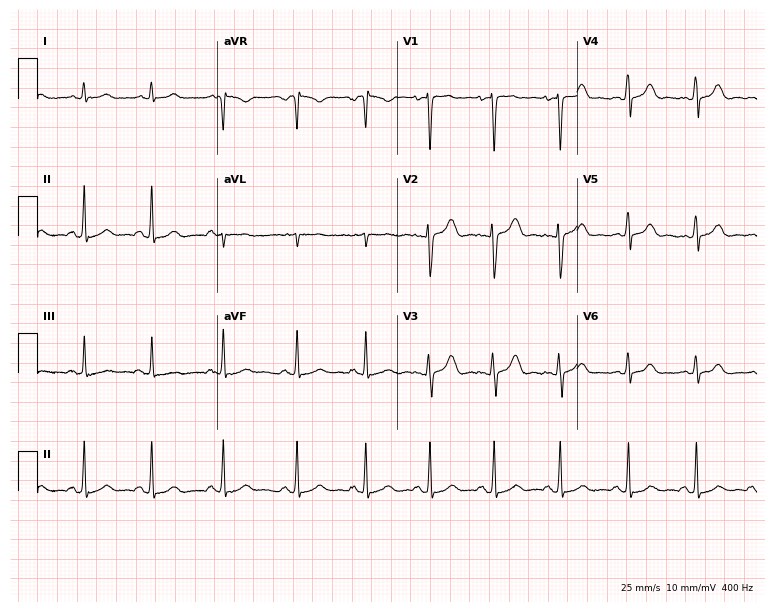
Standard 12-lead ECG recorded from a female patient, 19 years old (7.3-second recording at 400 Hz). None of these six findings is recorded: first-degree AV block, right bundle branch block, left bundle branch block, sinus bradycardia, atrial fibrillation, sinus tachycardia.